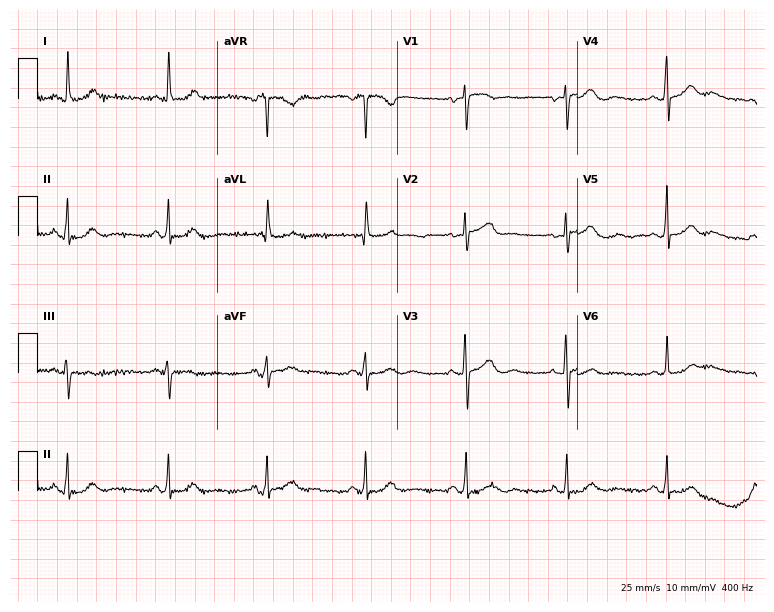
Resting 12-lead electrocardiogram. Patient: a 70-year-old female. Read as a normal ECG.